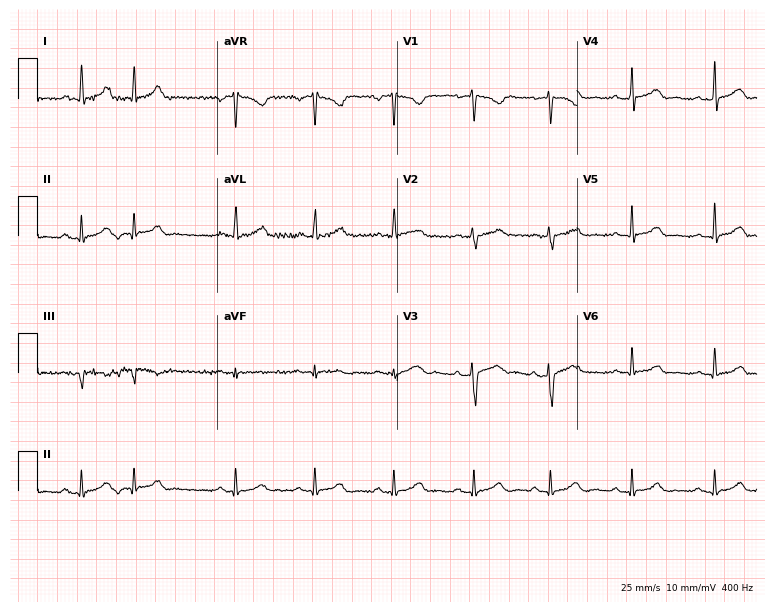
ECG — a 26-year-old female. Screened for six findings — first-degree AV block, right bundle branch block, left bundle branch block, sinus bradycardia, atrial fibrillation, sinus tachycardia — none is recorded. Other findings, if any, are not listed.